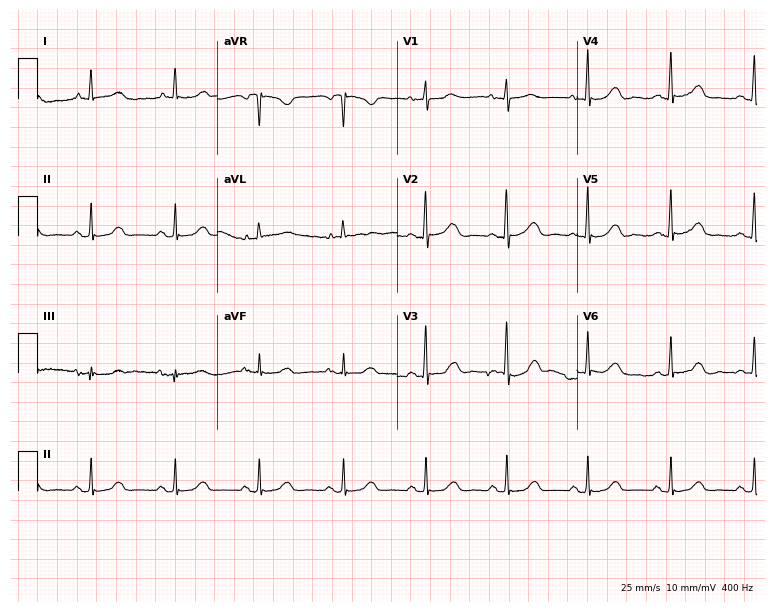
Resting 12-lead electrocardiogram (7.3-second recording at 400 Hz). Patient: a female, 73 years old. Read as a normal ECG.